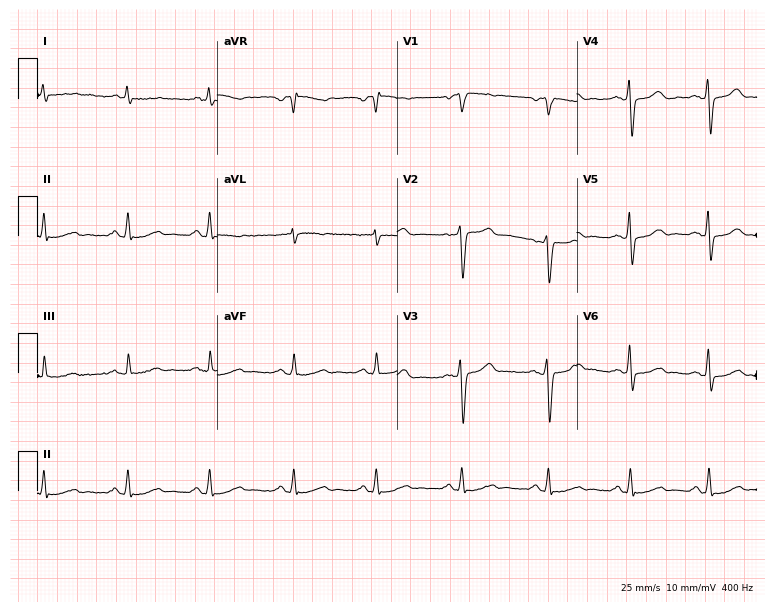
12-lead ECG from a male, 53 years old (7.3-second recording at 400 Hz). No first-degree AV block, right bundle branch block, left bundle branch block, sinus bradycardia, atrial fibrillation or sinus tachycardia recorded for this tracing.